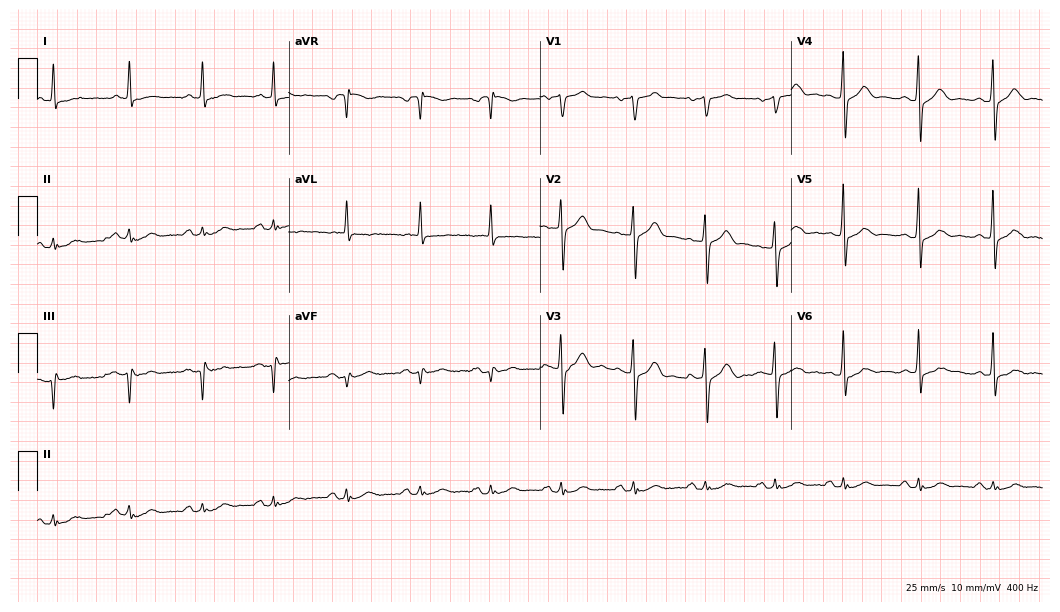
Resting 12-lead electrocardiogram (10.2-second recording at 400 Hz). Patient: a 66-year-old male. None of these six findings is recorded: first-degree AV block, right bundle branch block, left bundle branch block, sinus bradycardia, atrial fibrillation, sinus tachycardia. Only these six findings were labelled.